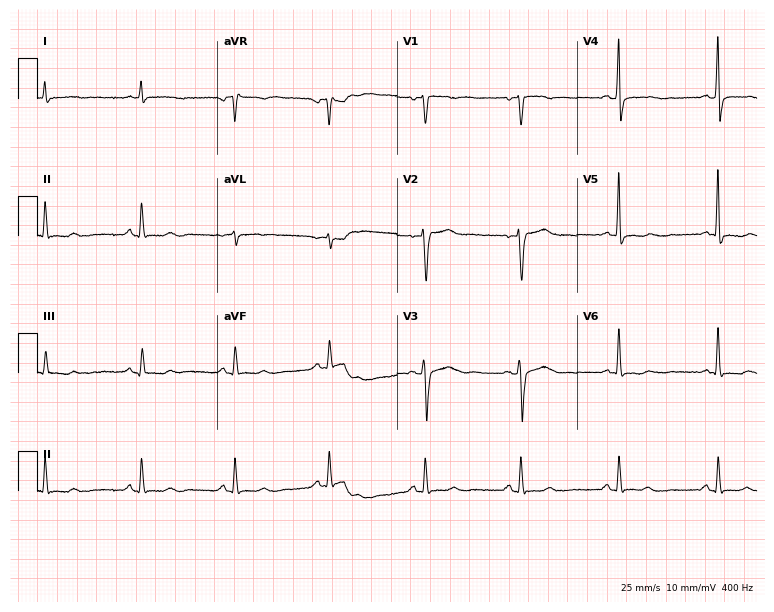
Electrocardiogram (7.3-second recording at 400 Hz), a female, 64 years old. Of the six screened findings (first-degree AV block, right bundle branch block, left bundle branch block, sinus bradycardia, atrial fibrillation, sinus tachycardia), none is recorded.